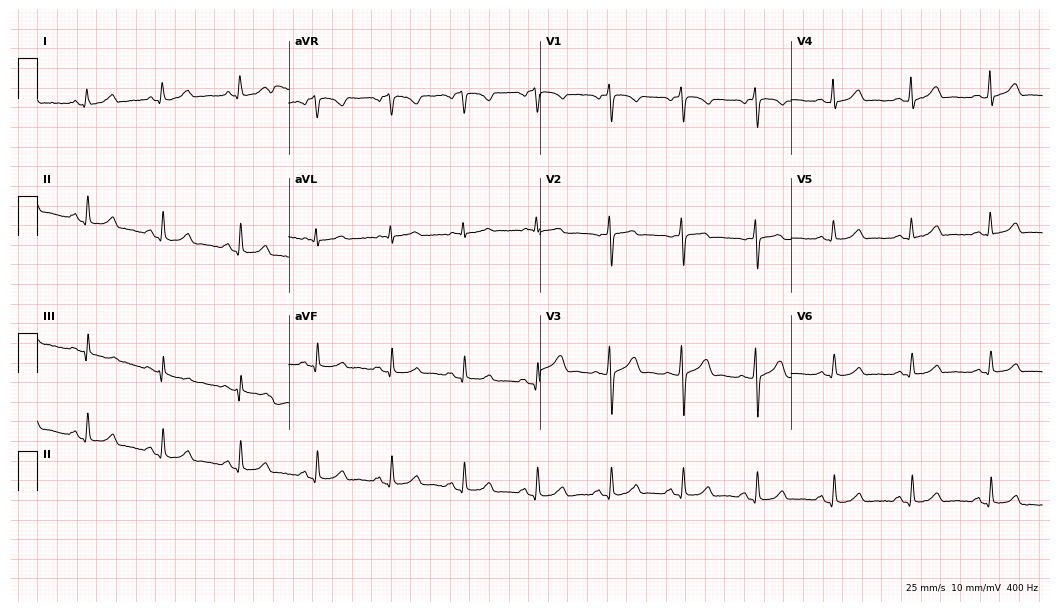
Resting 12-lead electrocardiogram. Patient: a 37-year-old female. None of these six findings is recorded: first-degree AV block, right bundle branch block, left bundle branch block, sinus bradycardia, atrial fibrillation, sinus tachycardia. Only these six findings were labelled.